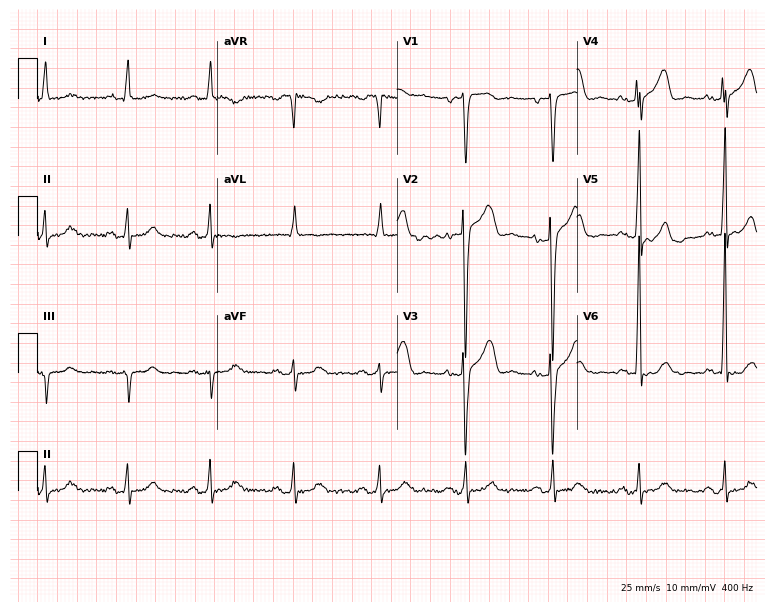
Standard 12-lead ECG recorded from a male, 61 years old. None of these six findings is recorded: first-degree AV block, right bundle branch block, left bundle branch block, sinus bradycardia, atrial fibrillation, sinus tachycardia. Other findings, if any, are not listed.